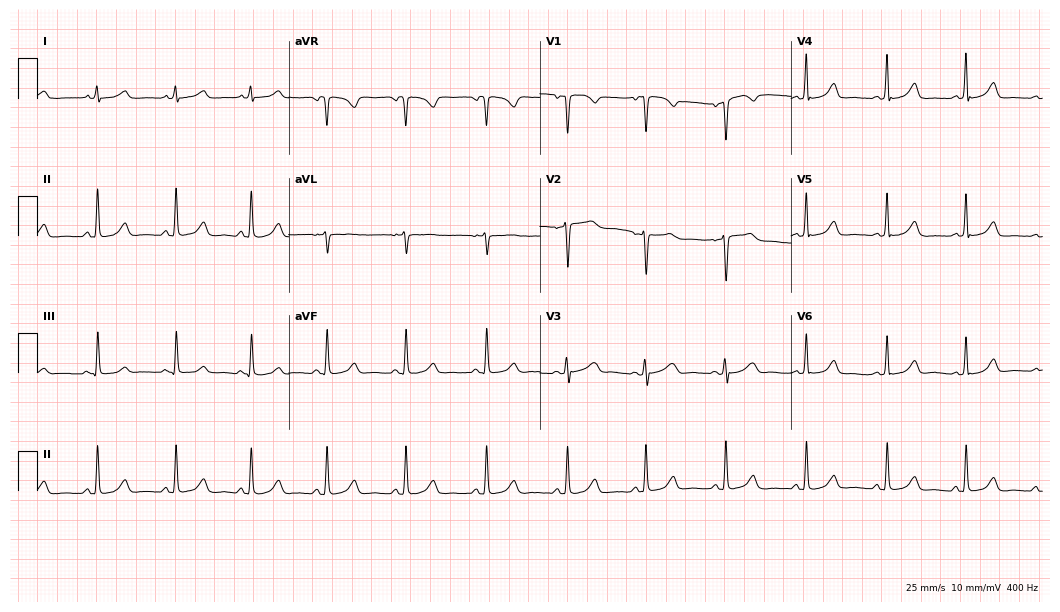
ECG — a woman, 37 years old. Labelled as a normal ECG.